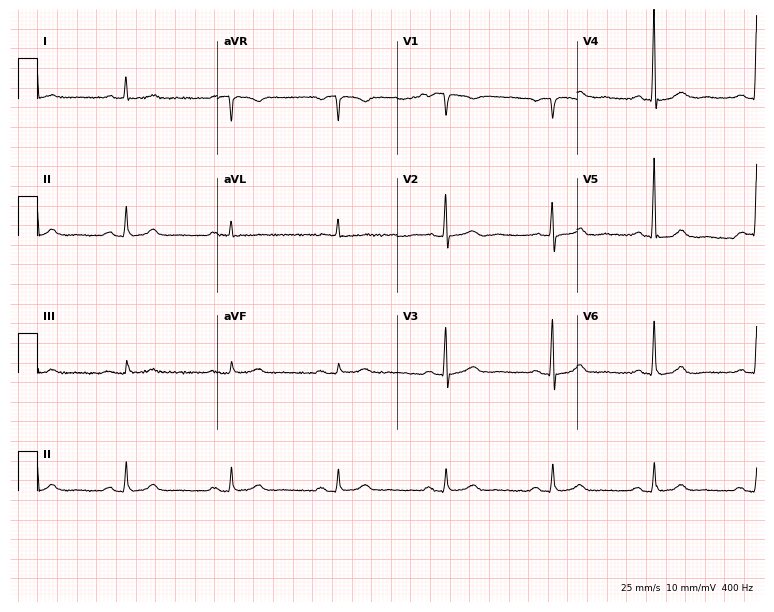
12-lead ECG from a 78-year-old female patient (7.3-second recording at 400 Hz). Recorded interpretation: within normal limits.